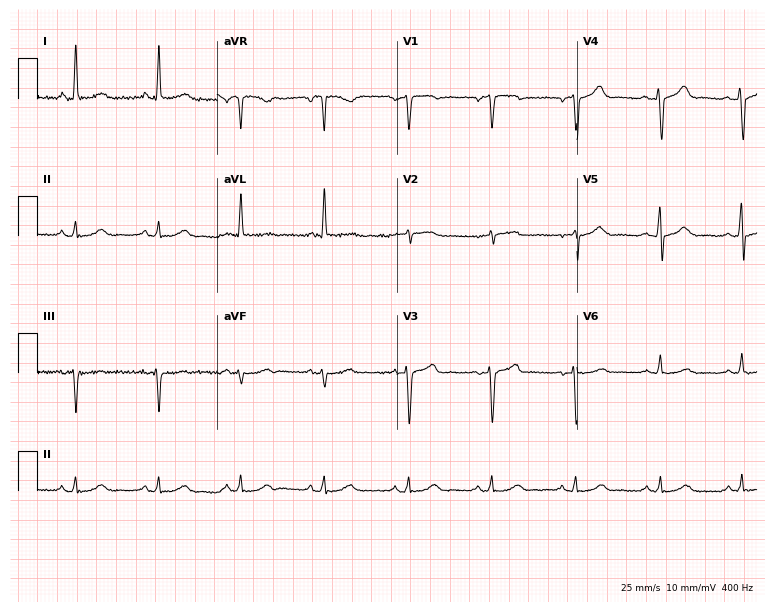
12-lead ECG from a woman, 54 years old. Recorded interpretation: within normal limits.